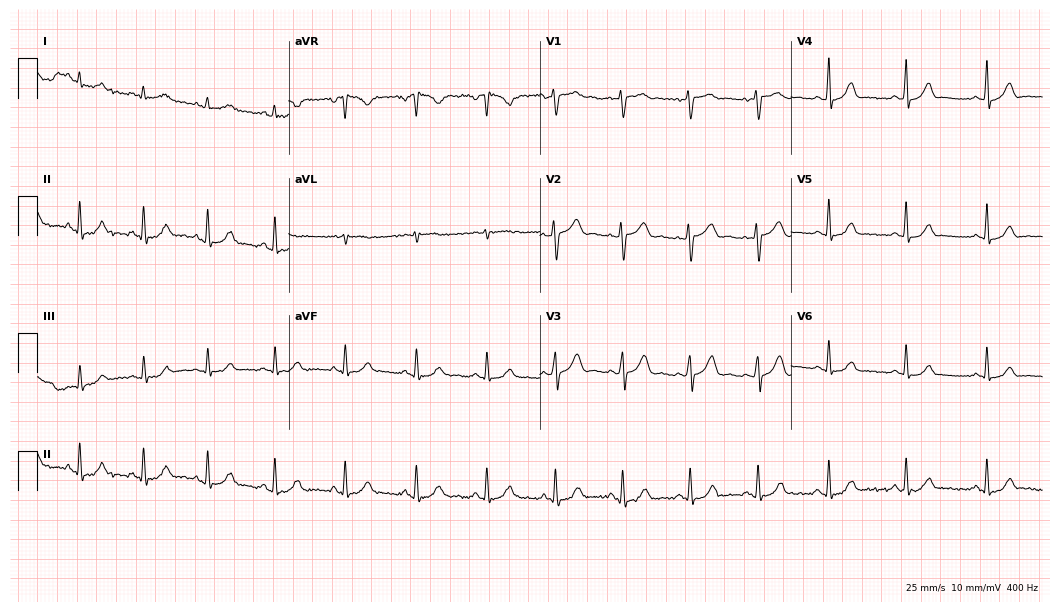
Electrocardiogram, a female patient, 45 years old. Overall reading on record: normal ECG.